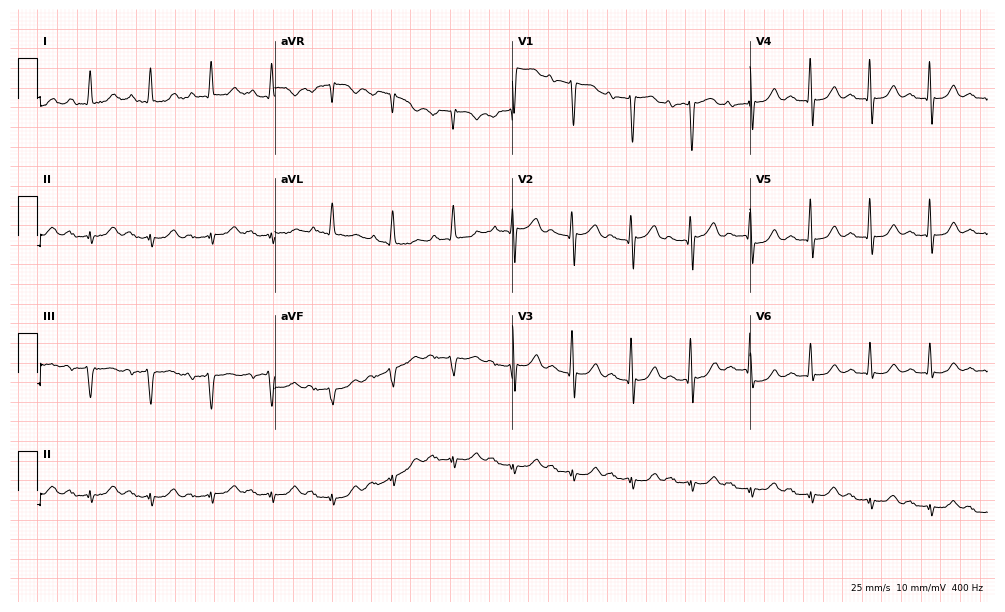
Standard 12-lead ECG recorded from a male, 77 years old. The tracing shows first-degree AV block.